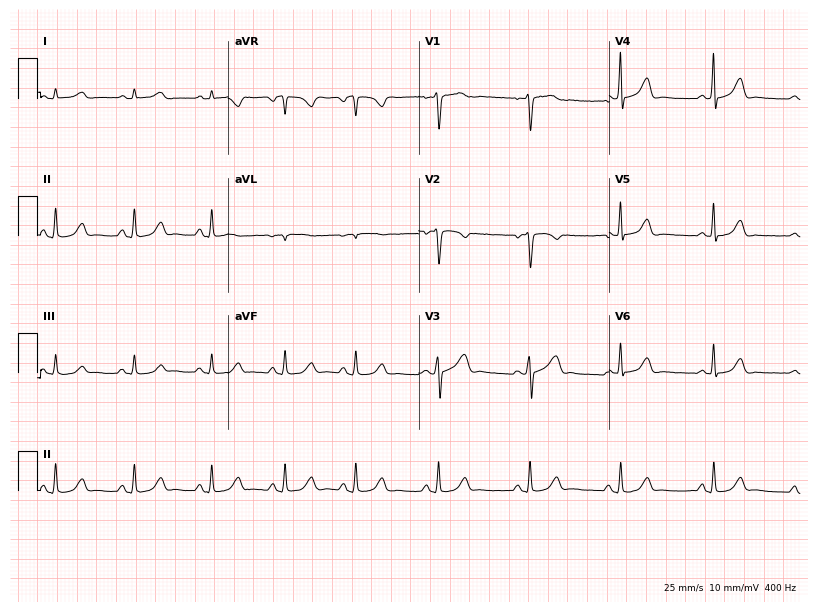
Standard 12-lead ECG recorded from a 33-year-old female patient. Read as a normal ECG.